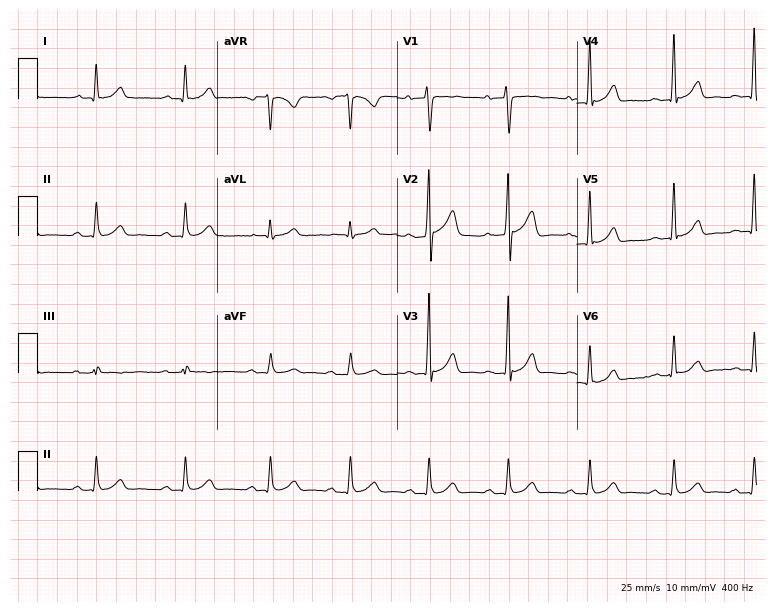
Resting 12-lead electrocardiogram (7.3-second recording at 400 Hz). Patient: a 38-year-old man. None of these six findings is recorded: first-degree AV block, right bundle branch block, left bundle branch block, sinus bradycardia, atrial fibrillation, sinus tachycardia.